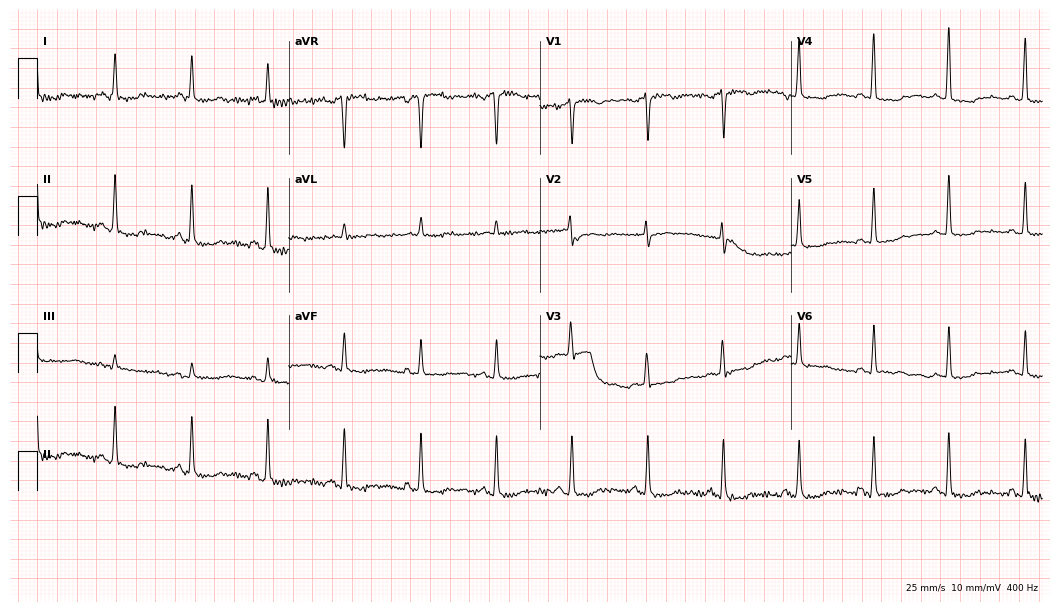
Resting 12-lead electrocardiogram. Patient: a 51-year-old female. None of these six findings is recorded: first-degree AV block, right bundle branch block, left bundle branch block, sinus bradycardia, atrial fibrillation, sinus tachycardia. Other findings, if any, are not listed.